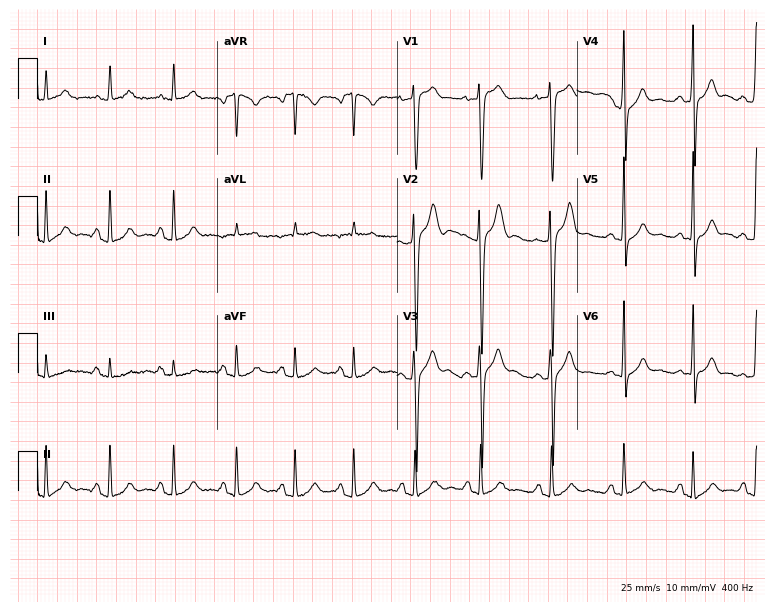
Standard 12-lead ECG recorded from a 28-year-old man. None of these six findings is recorded: first-degree AV block, right bundle branch block, left bundle branch block, sinus bradycardia, atrial fibrillation, sinus tachycardia.